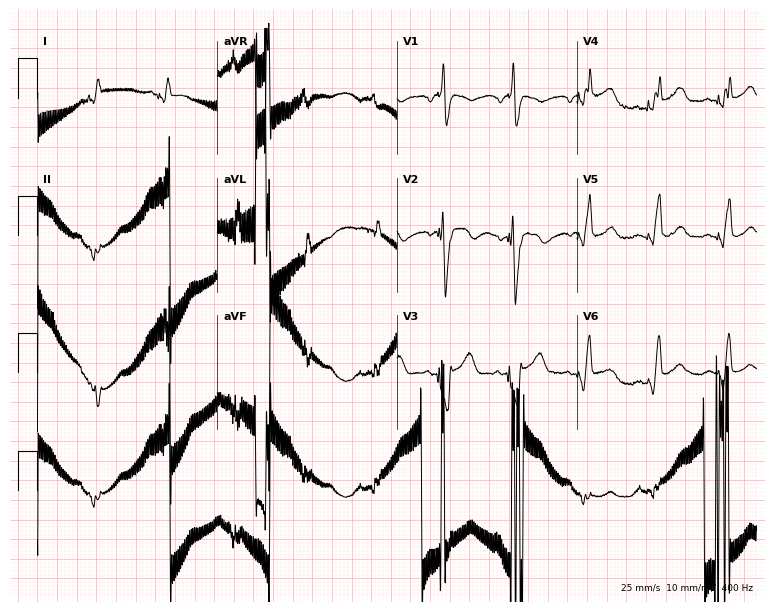
Resting 12-lead electrocardiogram. Patient: a male, 51 years old. None of these six findings is recorded: first-degree AV block, right bundle branch block (RBBB), left bundle branch block (LBBB), sinus bradycardia, atrial fibrillation (AF), sinus tachycardia.